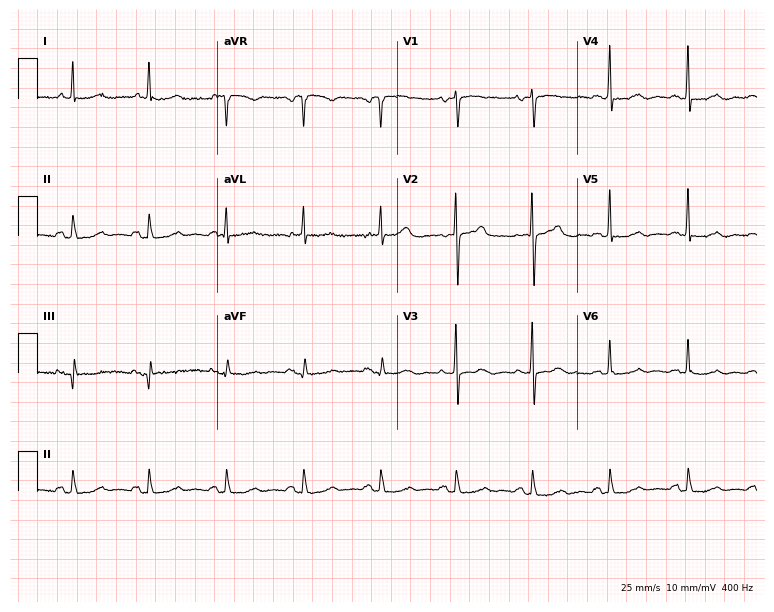
Resting 12-lead electrocardiogram. Patient: a female, 80 years old. None of these six findings is recorded: first-degree AV block, right bundle branch block, left bundle branch block, sinus bradycardia, atrial fibrillation, sinus tachycardia.